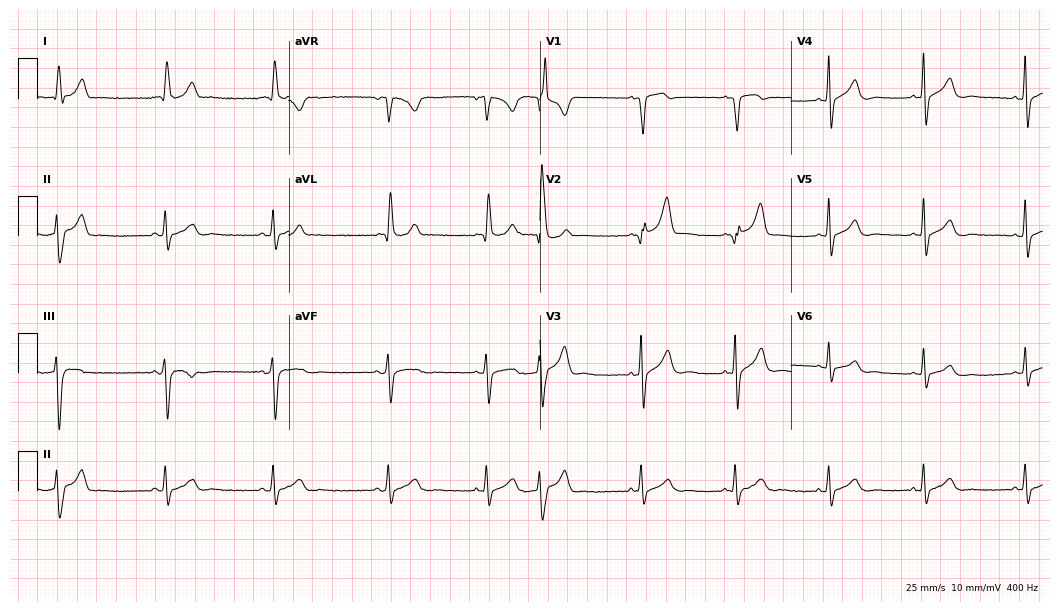
Standard 12-lead ECG recorded from a female patient, 85 years old (10.2-second recording at 400 Hz). Read as a normal ECG.